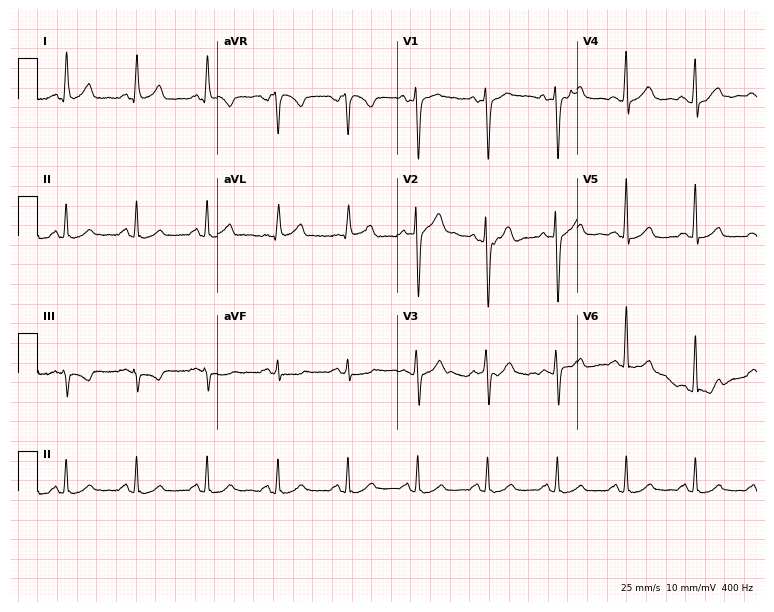
Standard 12-lead ECG recorded from a man, 58 years old. None of these six findings is recorded: first-degree AV block, right bundle branch block, left bundle branch block, sinus bradycardia, atrial fibrillation, sinus tachycardia.